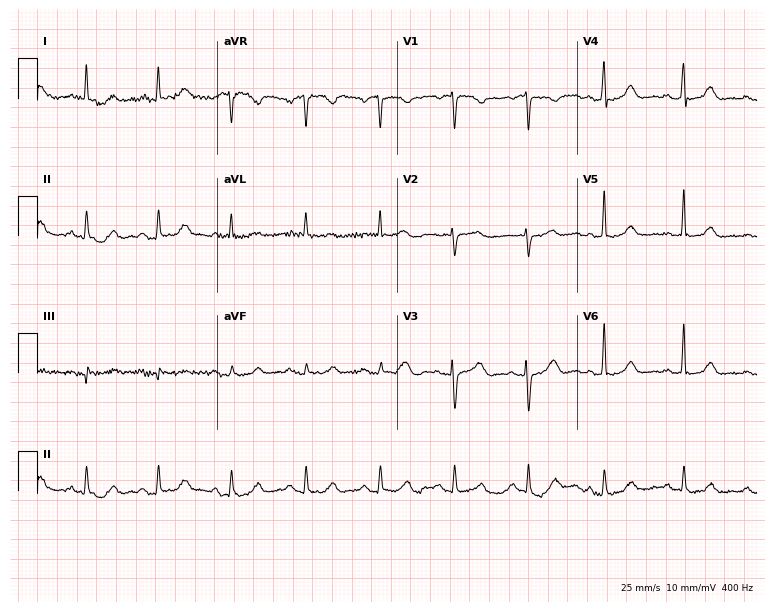
Standard 12-lead ECG recorded from a 76-year-old male patient (7.3-second recording at 400 Hz). None of these six findings is recorded: first-degree AV block, right bundle branch block (RBBB), left bundle branch block (LBBB), sinus bradycardia, atrial fibrillation (AF), sinus tachycardia.